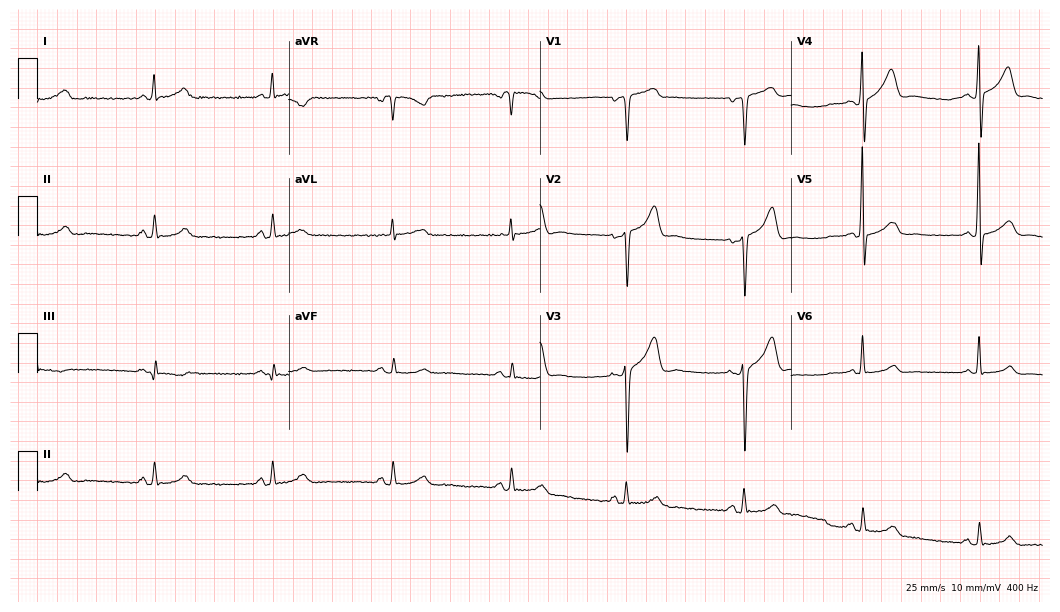
ECG (10.2-second recording at 400 Hz) — a 55-year-old male patient. Findings include sinus bradycardia (a sinus rate of 50 beats per minute or less).